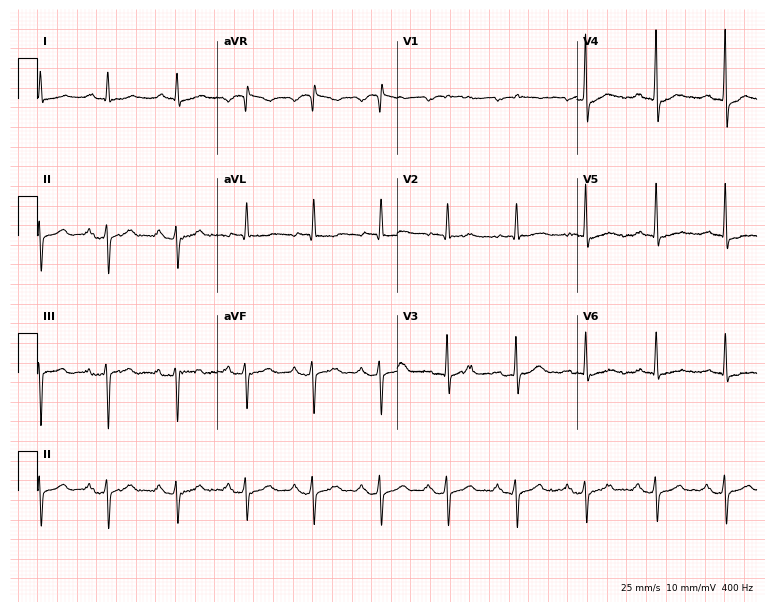
Standard 12-lead ECG recorded from an 85-year-old male patient (7.3-second recording at 400 Hz). None of these six findings is recorded: first-degree AV block, right bundle branch block, left bundle branch block, sinus bradycardia, atrial fibrillation, sinus tachycardia. Findings outside these six are not listed.